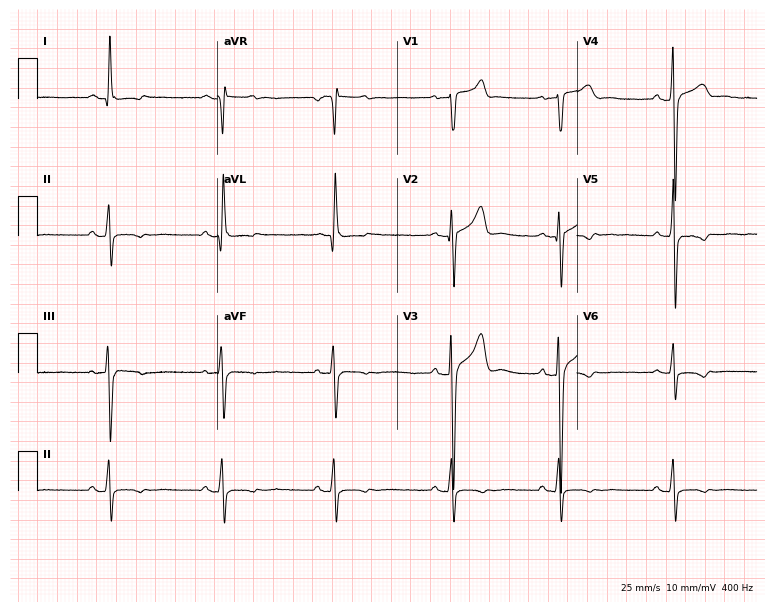
Electrocardiogram, a 28-year-old male. Of the six screened findings (first-degree AV block, right bundle branch block, left bundle branch block, sinus bradycardia, atrial fibrillation, sinus tachycardia), none is recorded. Only these six findings were labelled.